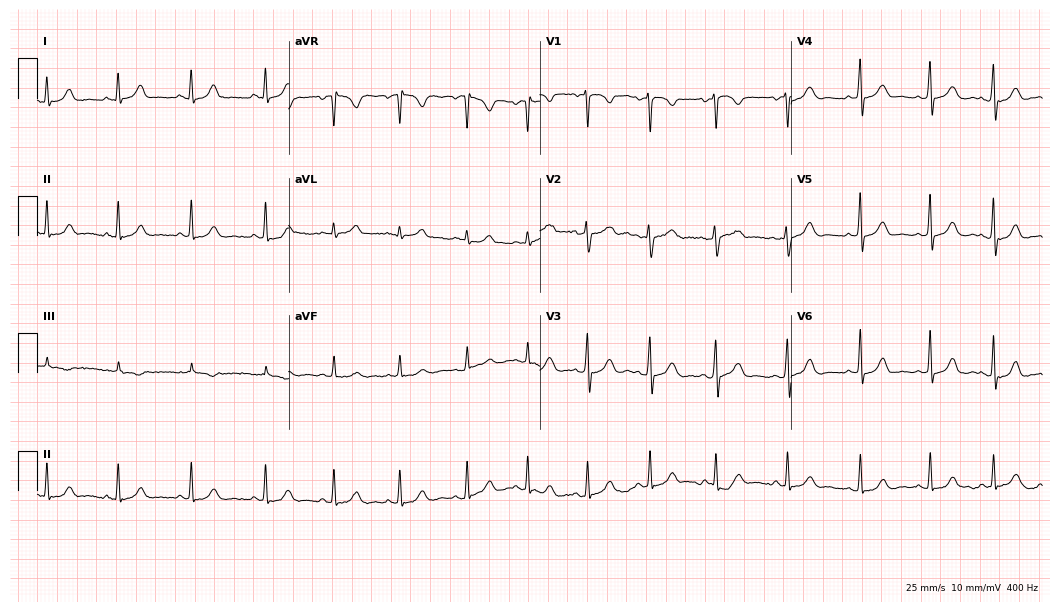
Electrocardiogram, a woman, 18 years old. Overall reading on record: normal ECG.